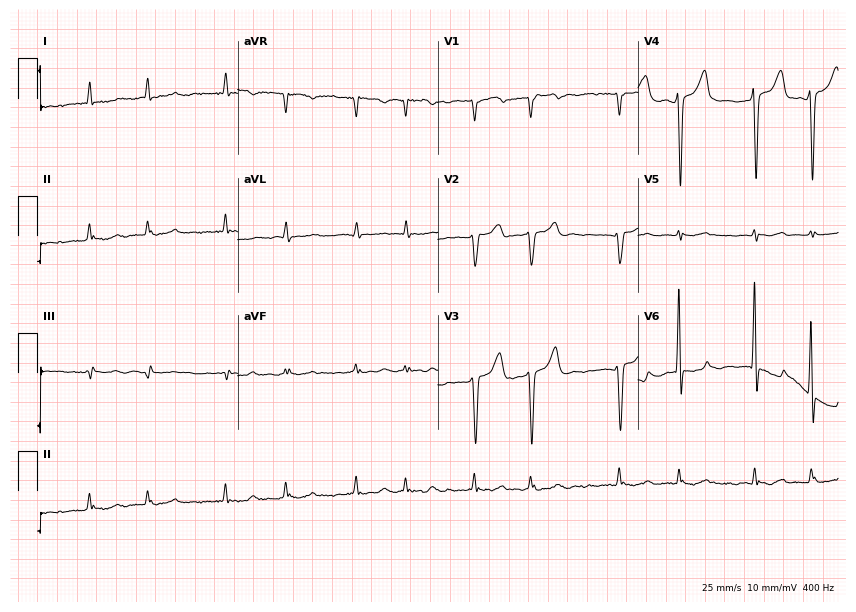
Resting 12-lead electrocardiogram (8.2-second recording at 400 Hz). Patient: a male, 76 years old. The tracing shows atrial fibrillation.